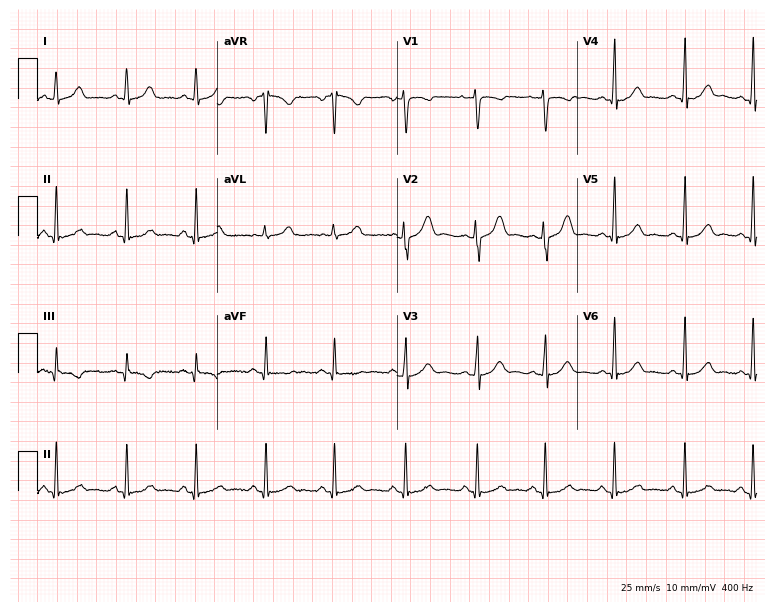
Standard 12-lead ECG recorded from a 24-year-old female patient. Read as a normal ECG.